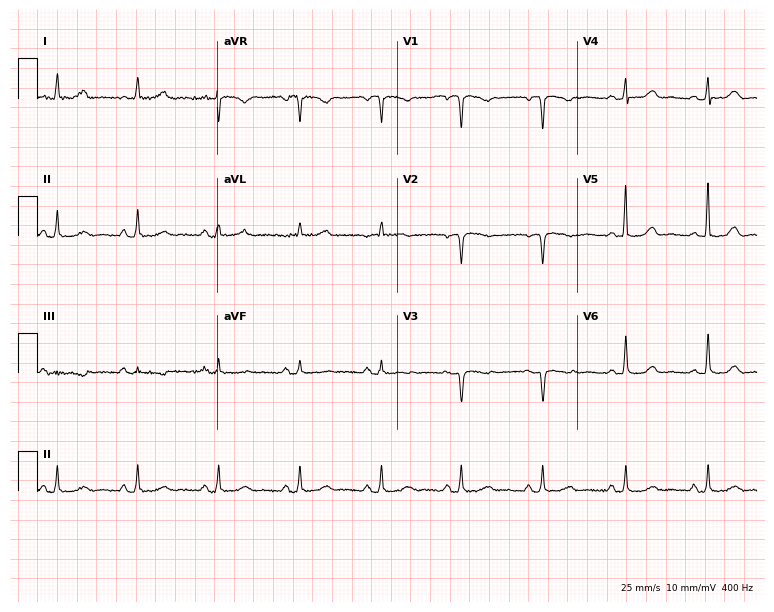
Standard 12-lead ECG recorded from a 66-year-old female patient. None of these six findings is recorded: first-degree AV block, right bundle branch block (RBBB), left bundle branch block (LBBB), sinus bradycardia, atrial fibrillation (AF), sinus tachycardia.